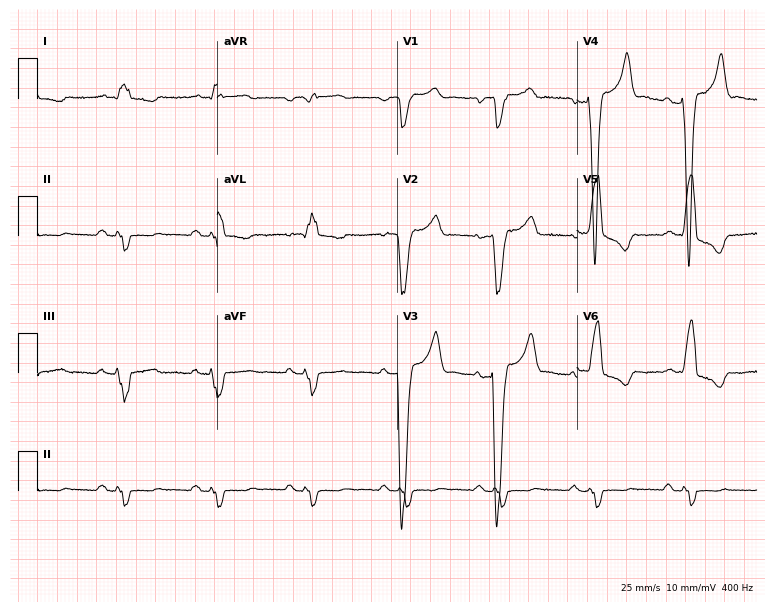
Standard 12-lead ECG recorded from a 71-year-old male. The tracing shows left bundle branch block.